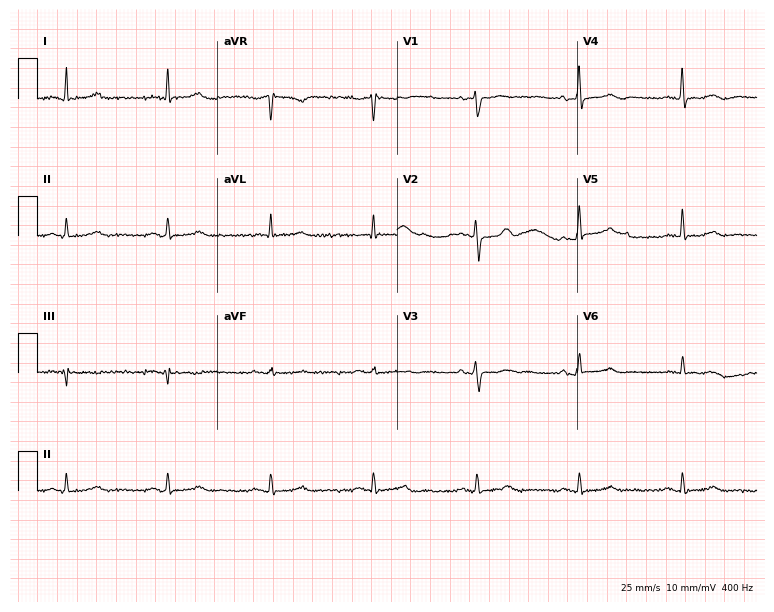
12-lead ECG from a female, 74 years old. Screened for six findings — first-degree AV block, right bundle branch block, left bundle branch block, sinus bradycardia, atrial fibrillation, sinus tachycardia — none is recorded. Other findings, if any, are not listed.